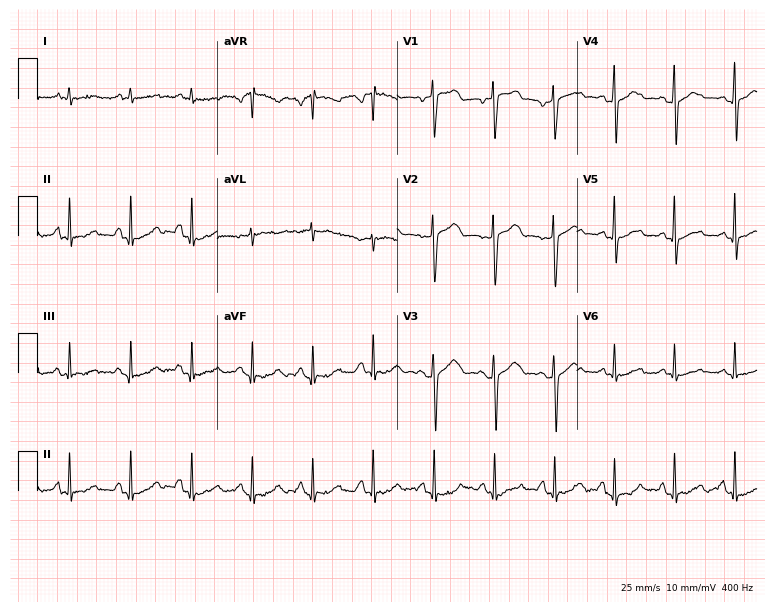
ECG (7.3-second recording at 400 Hz) — a 51-year-old female patient. Labelled as a normal ECG.